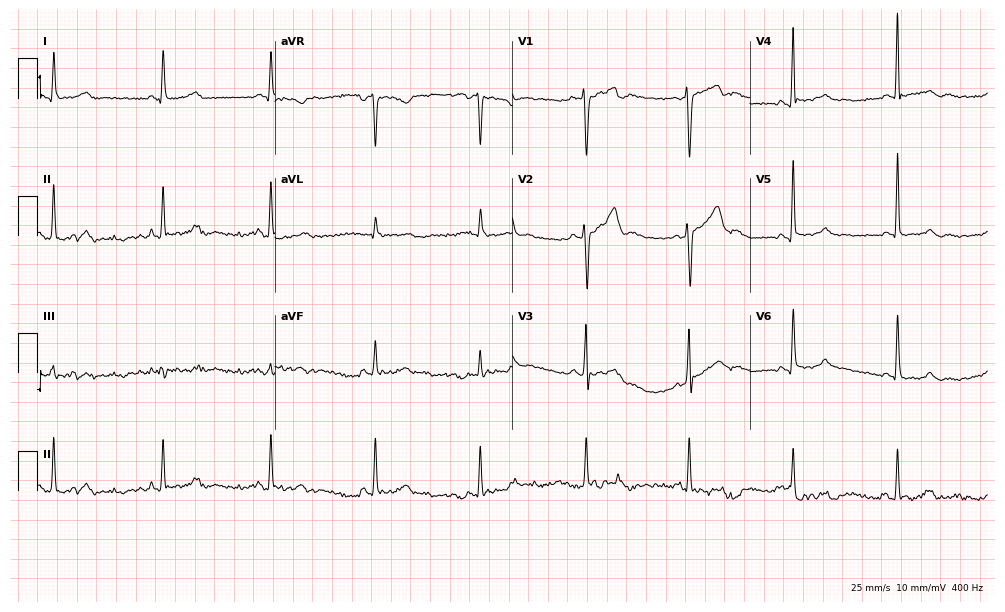
ECG (9.7-second recording at 400 Hz) — a man, 58 years old. Labelled as a normal ECG.